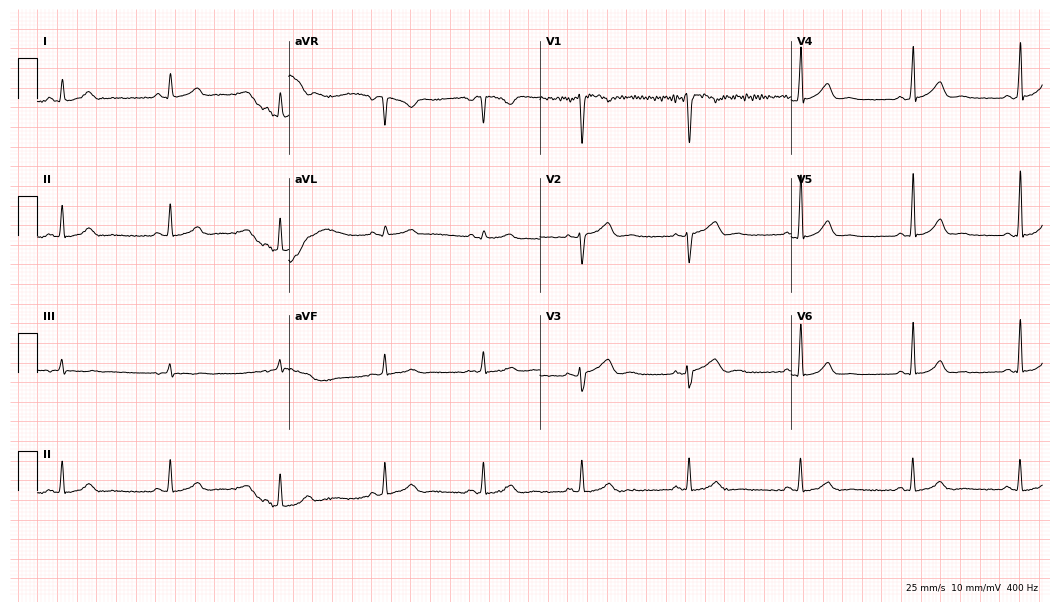
Resting 12-lead electrocardiogram. Patient: a woman, 34 years old. None of these six findings is recorded: first-degree AV block, right bundle branch block, left bundle branch block, sinus bradycardia, atrial fibrillation, sinus tachycardia. Findings outside these six are not listed.